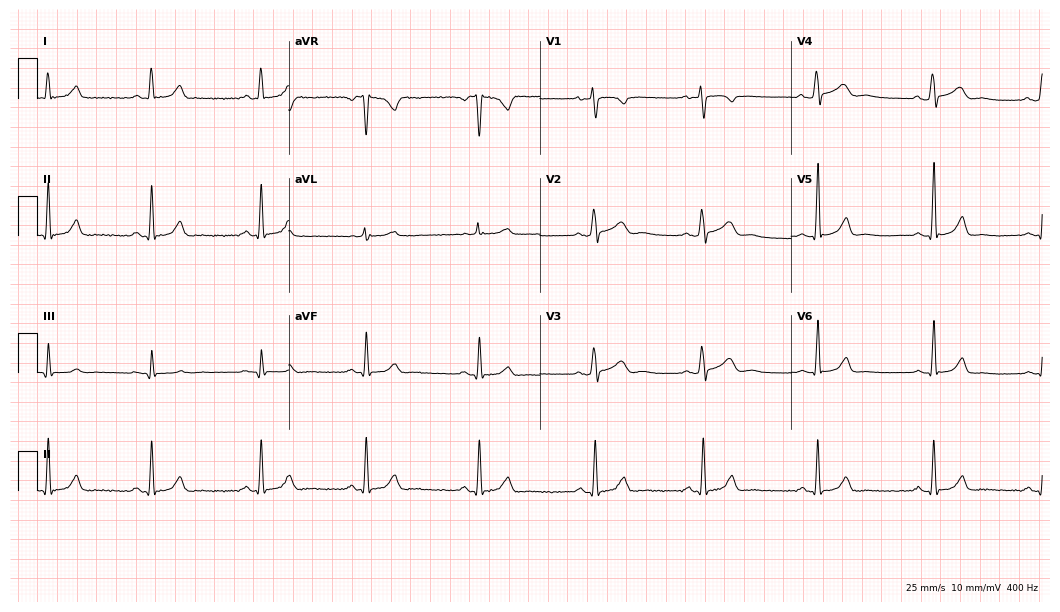
Electrocardiogram (10.2-second recording at 400 Hz), a female, 28 years old. Overall reading on record: normal ECG.